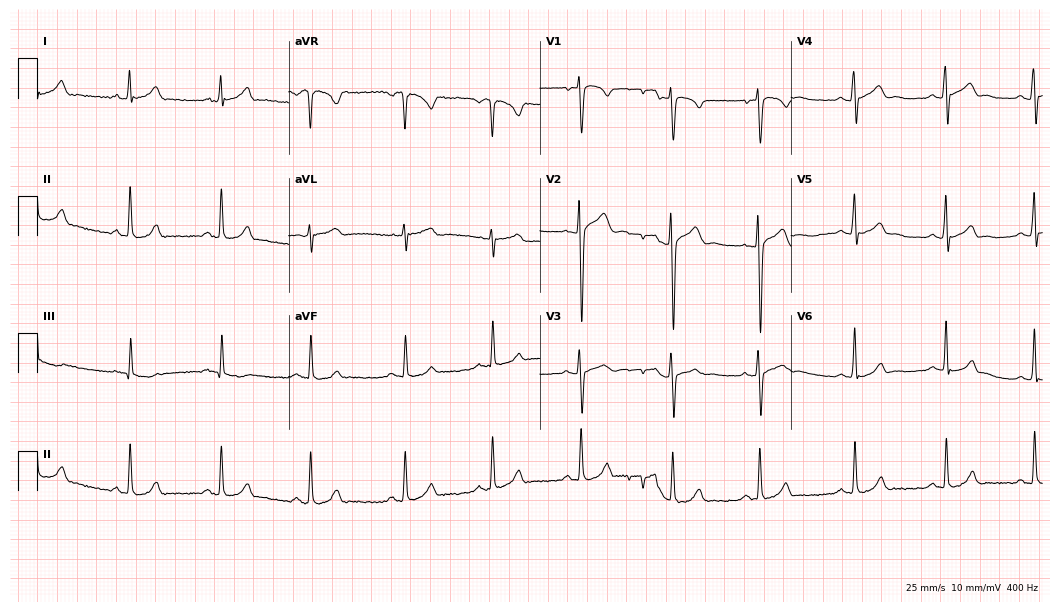
12-lead ECG from an 18-year-old male patient (10.2-second recording at 400 Hz). Recorded interpretation: within normal limits.